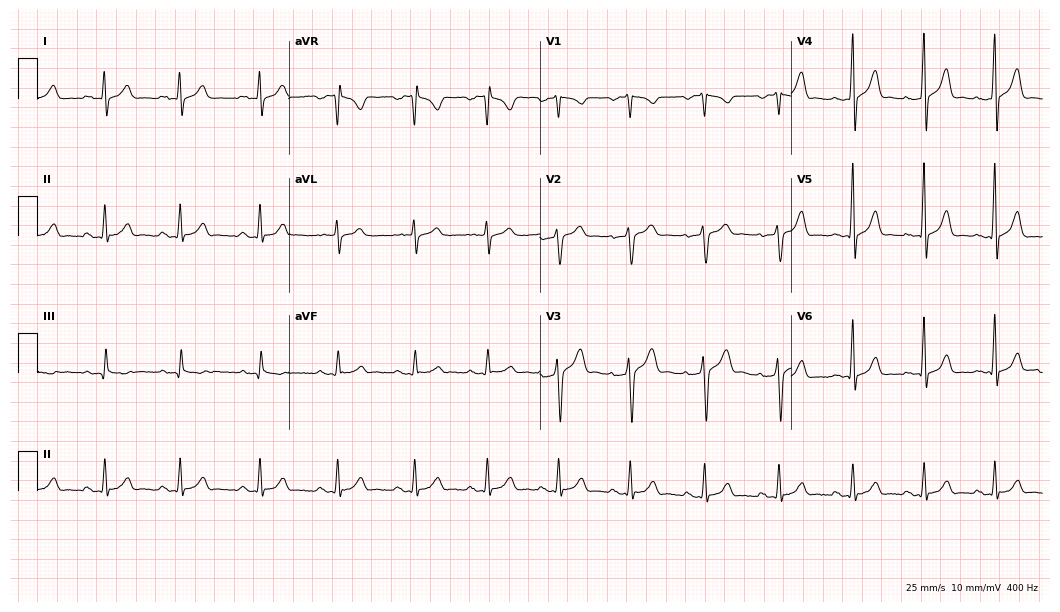
Resting 12-lead electrocardiogram. Patient: a 26-year-old man. Read as a normal ECG.